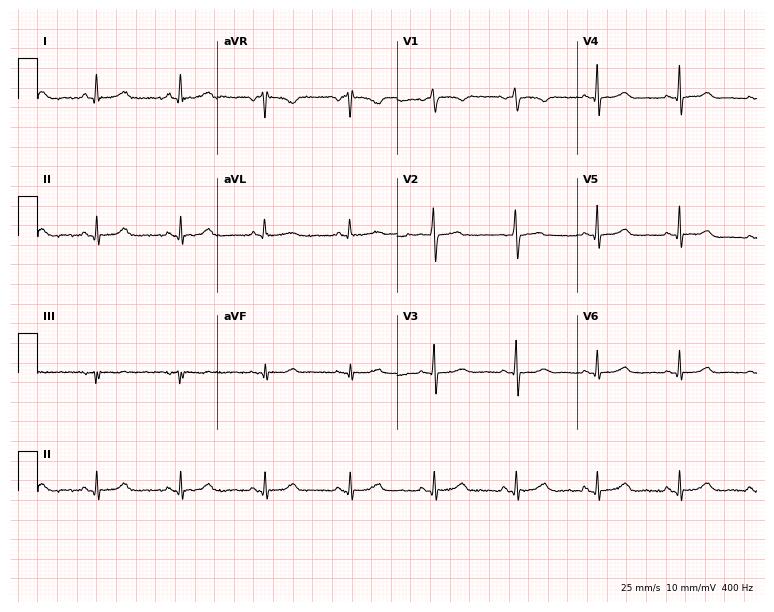
12-lead ECG from a 58-year-old woman (7.3-second recording at 400 Hz). Recorded interpretation: within normal limits.